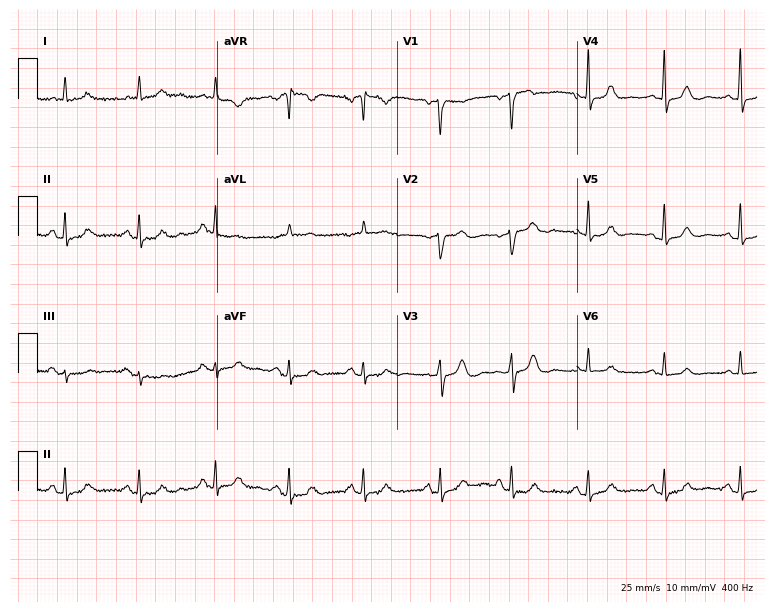
ECG — a female, 77 years old. Screened for six findings — first-degree AV block, right bundle branch block (RBBB), left bundle branch block (LBBB), sinus bradycardia, atrial fibrillation (AF), sinus tachycardia — none is recorded.